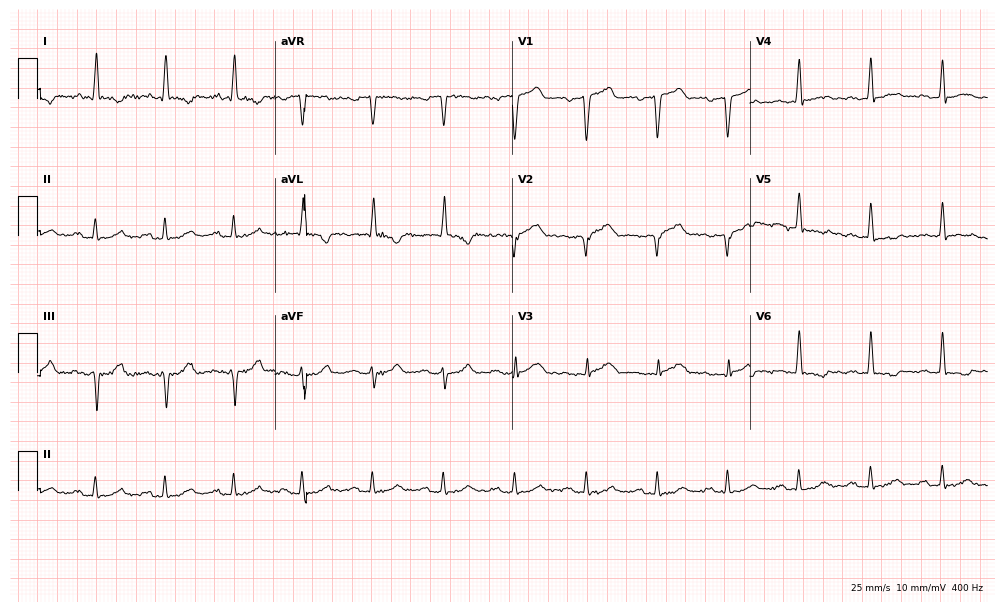
ECG (9.7-second recording at 400 Hz) — a 68-year-old man. Screened for six findings — first-degree AV block, right bundle branch block, left bundle branch block, sinus bradycardia, atrial fibrillation, sinus tachycardia — none is recorded.